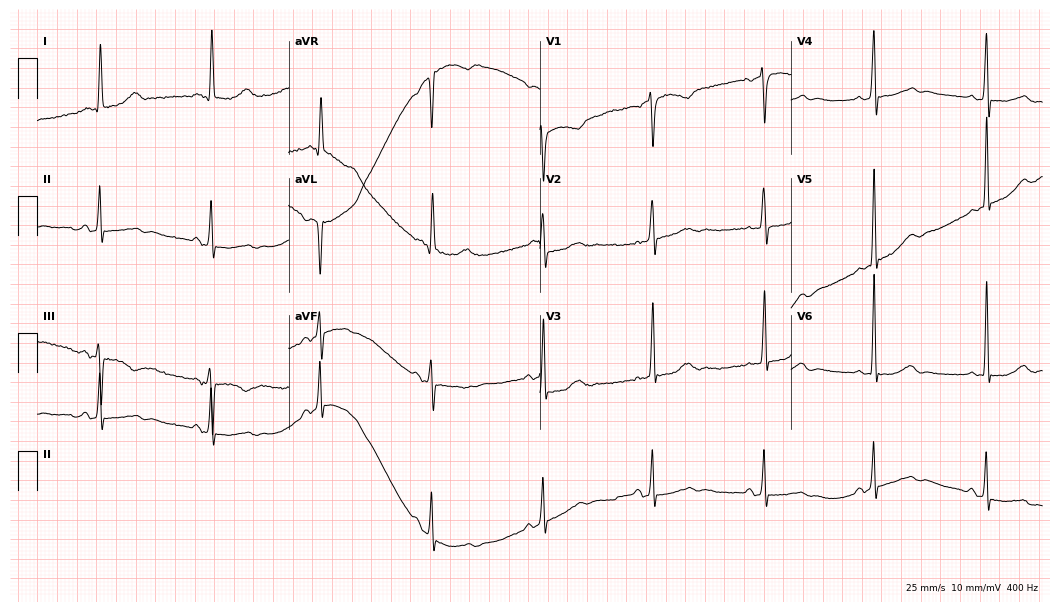
Standard 12-lead ECG recorded from a 66-year-old woman (10.2-second recording at 400 Hz). None of these six findings is recorded: first-degree AV block, right bundle branch block (RBBB), left bundle branch block (LBBB), sinus bradycardia, atrial fibrillation (AF), sinus tachycardia. Findings outside these six are not listed.